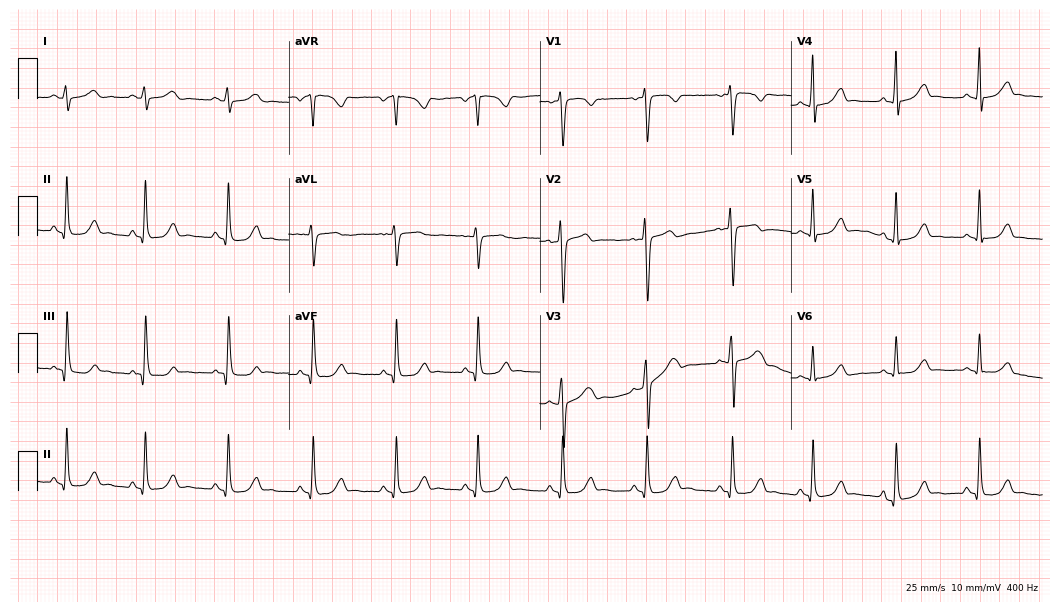
12-lead ECG (10.2-second recording at 400 Hz) from a 27-year-old female. Labelled as a normal ECG.